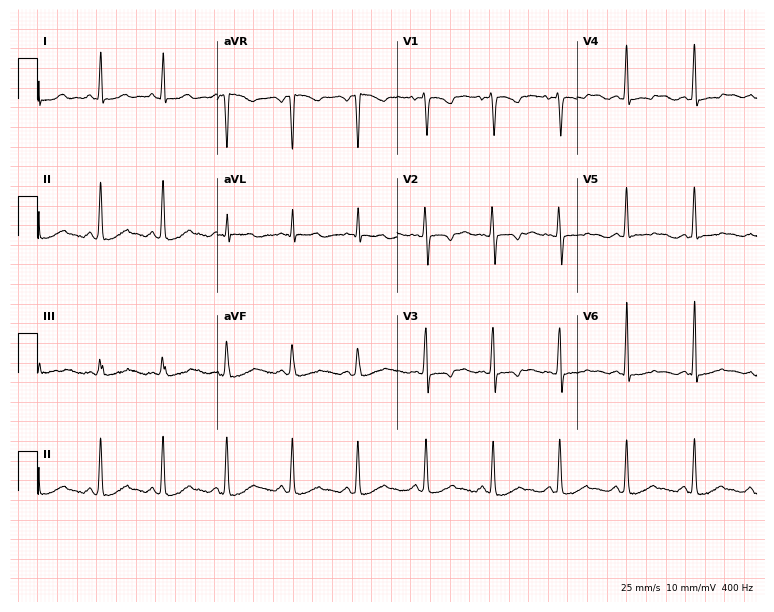
Resting 12-lead electrocardiogram. Patient: a female, 46 years old. None of these six findings is recorded: first-degree AV block, right bundle branch block, left bundle branch block, sinus bradycardia, atrial fibrillation, sinus tachycardia. Other findings, if any, are not listed.